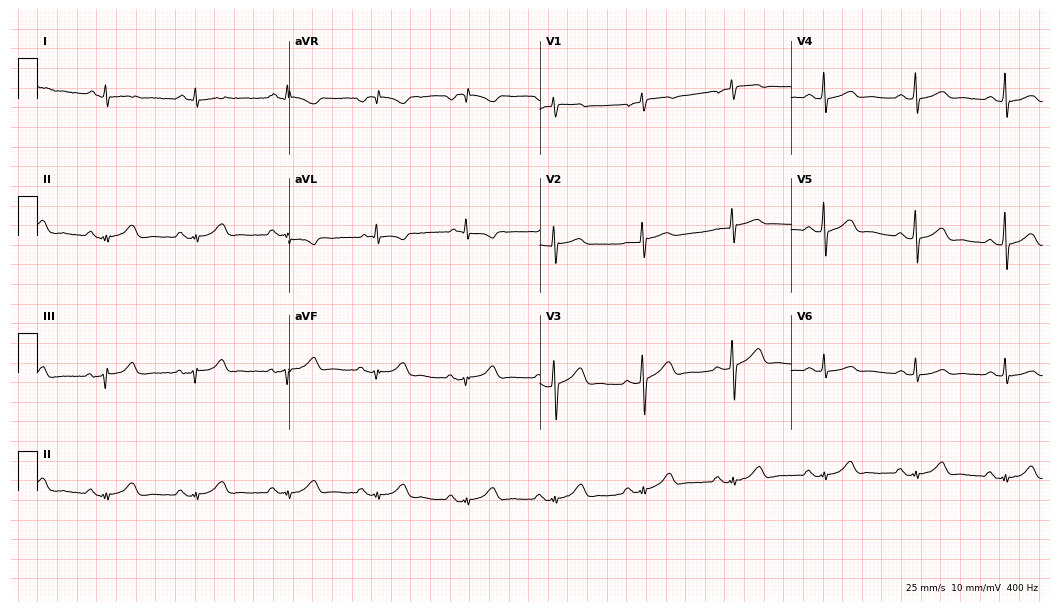
Standard 12-lead ECG recorded from a 60-year-old male patient (10.2-second recording at 400 Hz). None of these six findings is recorded: first-degree AV block, right bundle branch block, left bundle branch block, sinus bradycardia, atrial fibrillation, sinus tachycardia. Only these six findings were labelled.